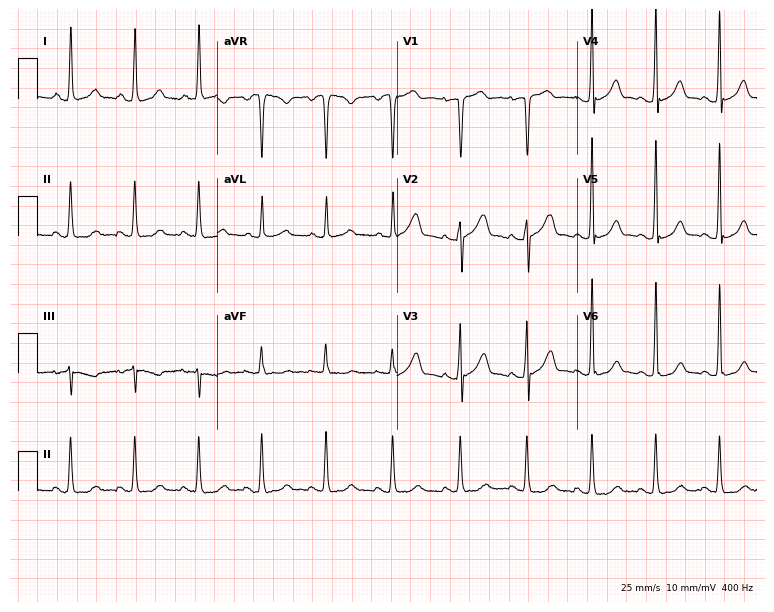
Electrocardiogram (7.3-second recording at 400 Hz), a 47-year-old female. Of the six screened findings (first-degree AV block, right bundle branch block (RBBB), left bundle branch block (LBBB), sinus bradycardia, atrial fibrillation (AF), sinus tachycardia), none is recorded.